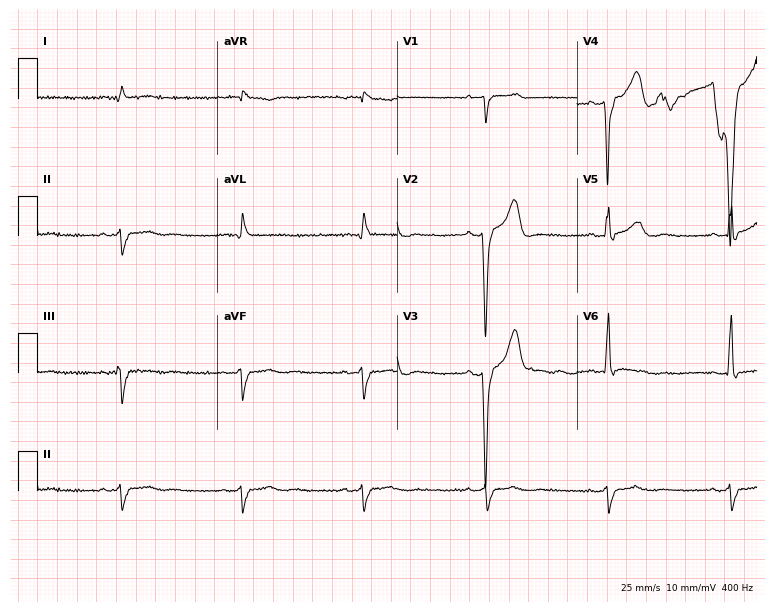
12-lead ECG from a 52-year-old man (7.3-second recording at 400 Hz). Shows sinus bradycardia (a sinus rate of 50 beats per minute or less).